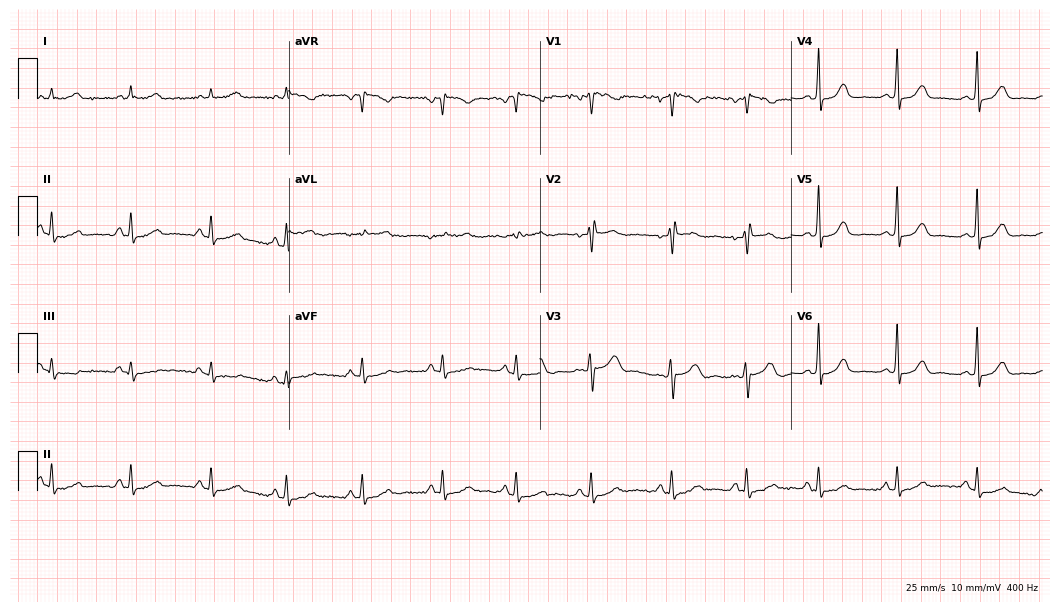
12-lead ECG from a female, 42 years old. Screened for six findings — first-degree AV block, right bundle branch block, left bundle branch block, sinus bradycardia, atrial fibrillation, sinus tachycardia — none is recorded.